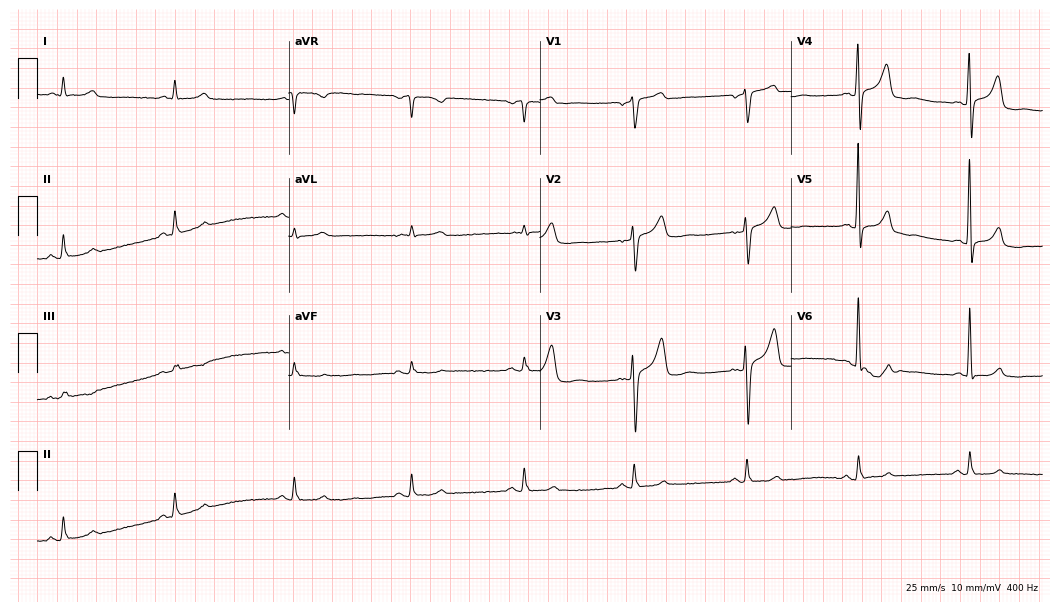
Electrocardiogram, an 81-year-old male. Of the six screened findings (first-degree AV block, right bundle branch block, left bundle branch block, sinus bradycardia, atrial fibrillation, sinus tachycardia), none is recorded.